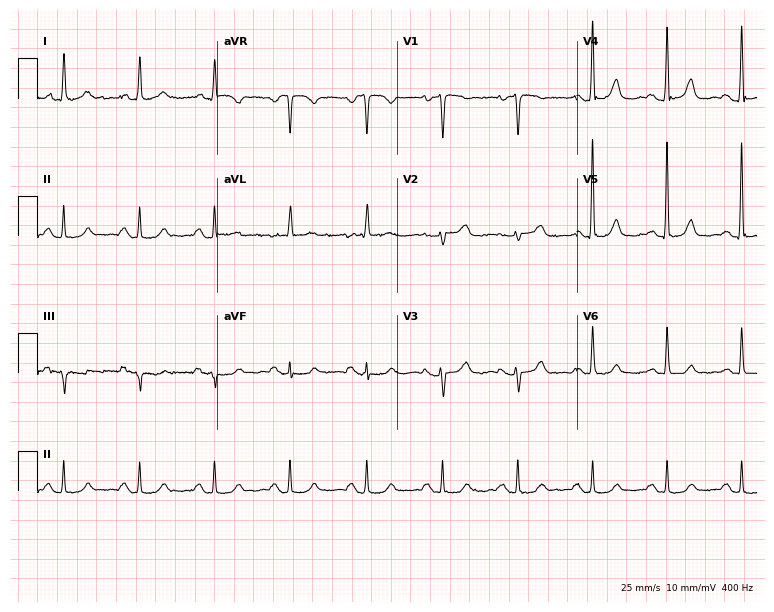
Resting 12-lead electrocardiogram. Patient: an 82-year-old female. Read as a normal ECG.